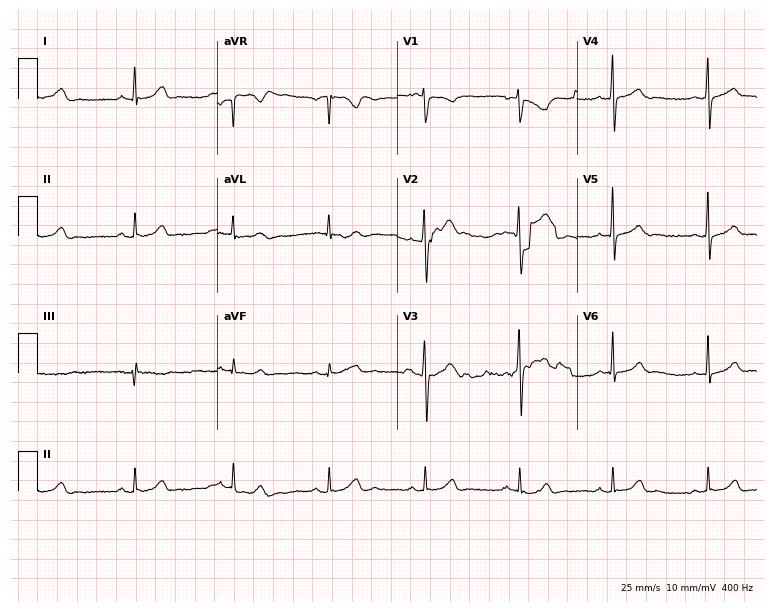
Electrocardiogram, a male patient, 38 years old. Overall reading on record: normal ECG.